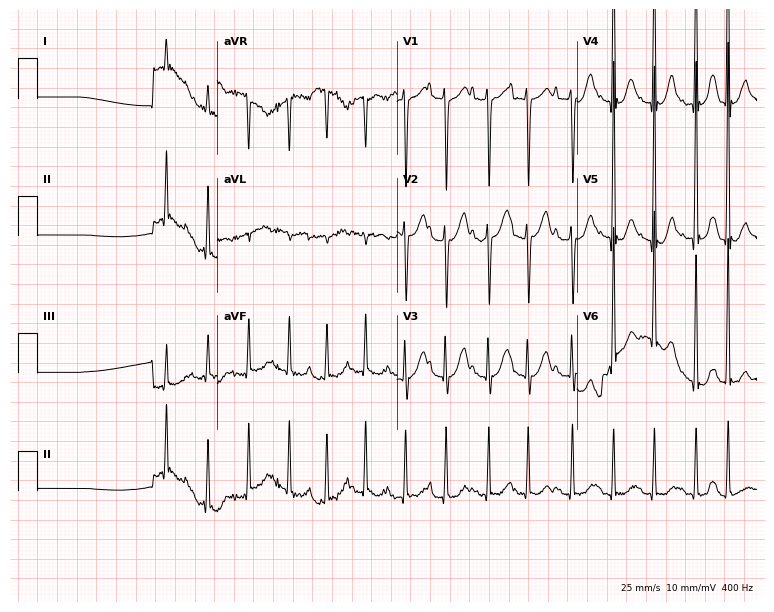
Resting 12-lead electrocardiogram. Patient: a female, 84 years old. The tracing shows sinus tachycardia (a sinus rate of 100 beats per minute or more).